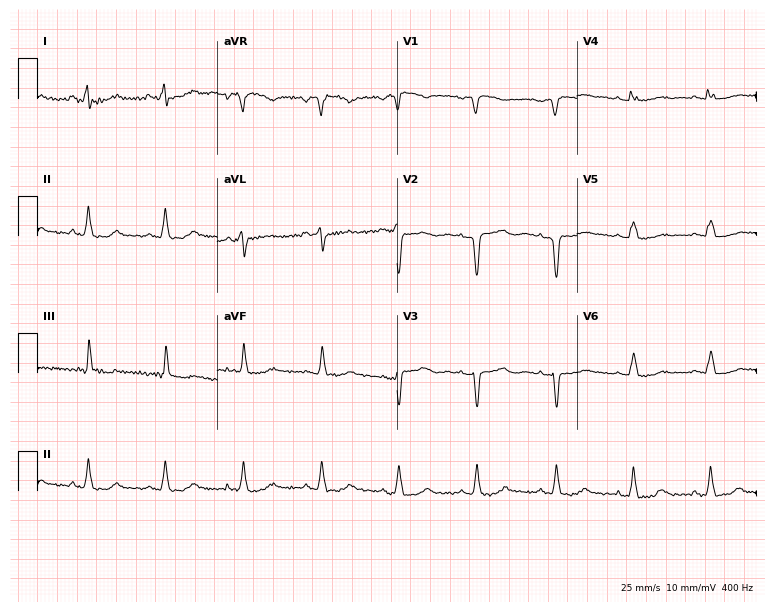
Standard 12-lead ECG recorded from a woman, 49 years old (7.3-second recording at 400 Hz). None of these six findings is recorded: first-degree AV block, right bundle branch block, left bundle branch block, sinus bradycardia, atrial fibrillation, sinus tachycardia. Only these six findings were labelled.